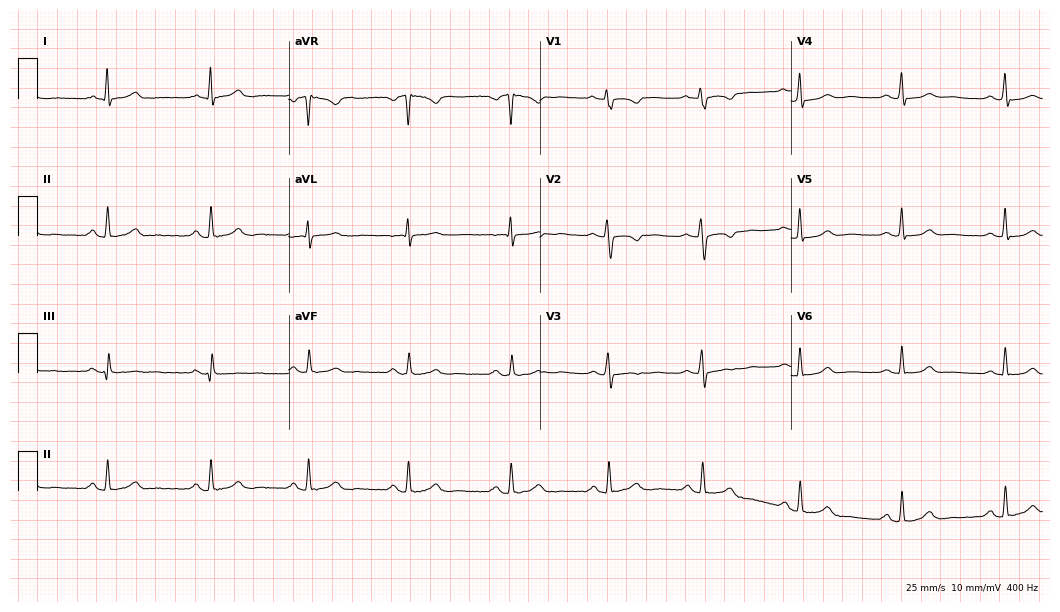
12-lead ECG from a 37-year-old female patient (10.2-second recording at 400 Hz). No first-degree AV block, right bundle branch block, left bundle branch block, sinus bradycardia, atrial fibrillation or sinus tachycardia recorded for this tracing.